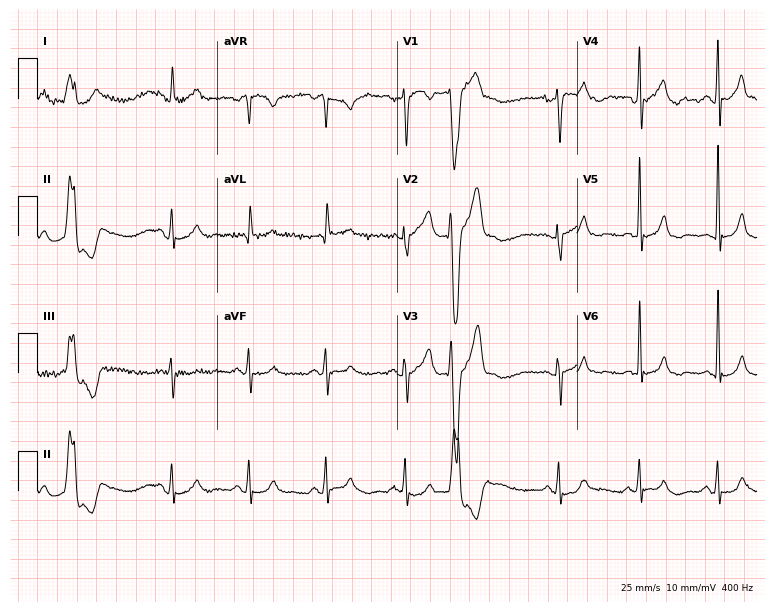
12-lead ECG from an 84-year-old male. Screened for six findings — first-degree AV block, right bundle branch block, left bundle branch block, sinus bradycardia, atrial fibrillation, sinus tachycardia — none is recorded. Findings outside these six are not listed.